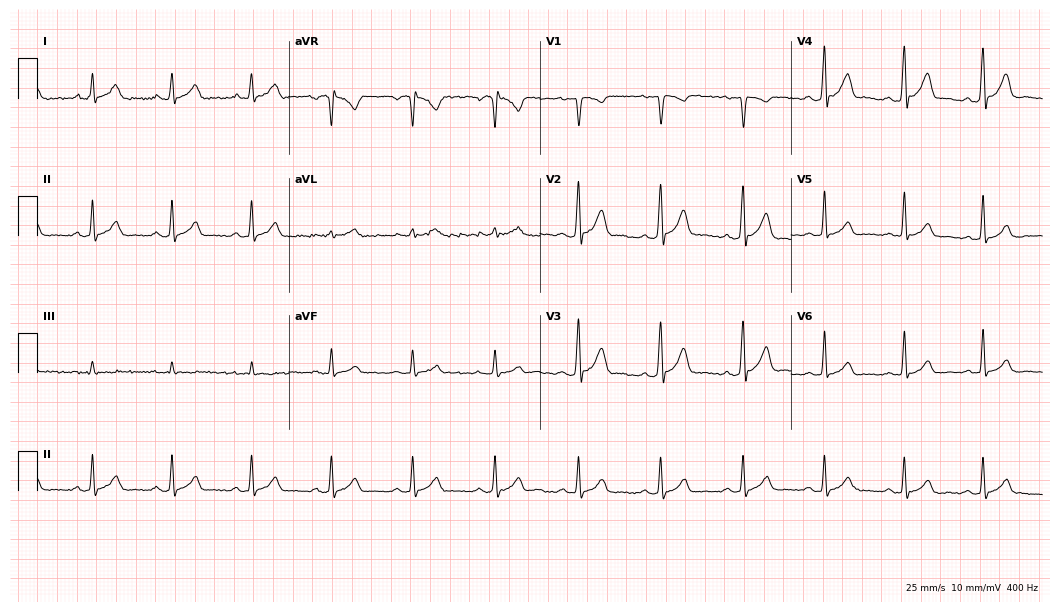
12-lead ECG from a 30-year-old man. Labelled as a normal ECG.